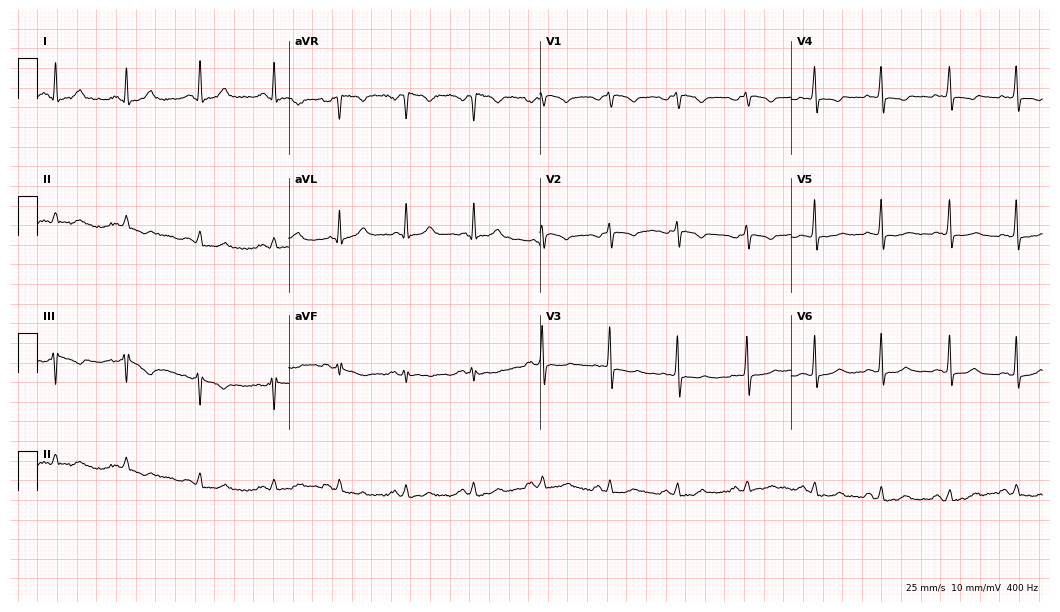
ECG (10.2-second recording at 400 Hz) — a woman, 50 years old. Screened for six findings — first-degree AV block, right bundle branch block, left bundle branch block, sinus bradycardia, atrial fibrillation, sinus tachycardia — none is recorded.